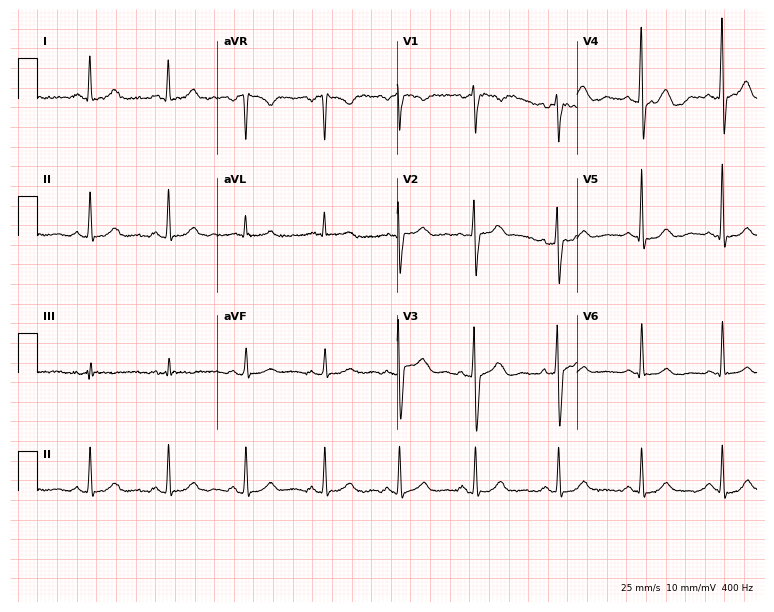
ECG (7.3-second recording at 400 Hz) — a female patient, 35 years old. Screened for six findings — first-degree AV block, right bundle branch block (RBBB), left bundle branch block (LBBB), sinus bradycardia, atrial fibrillation (AF), sinus tachycardia — none is recorded.